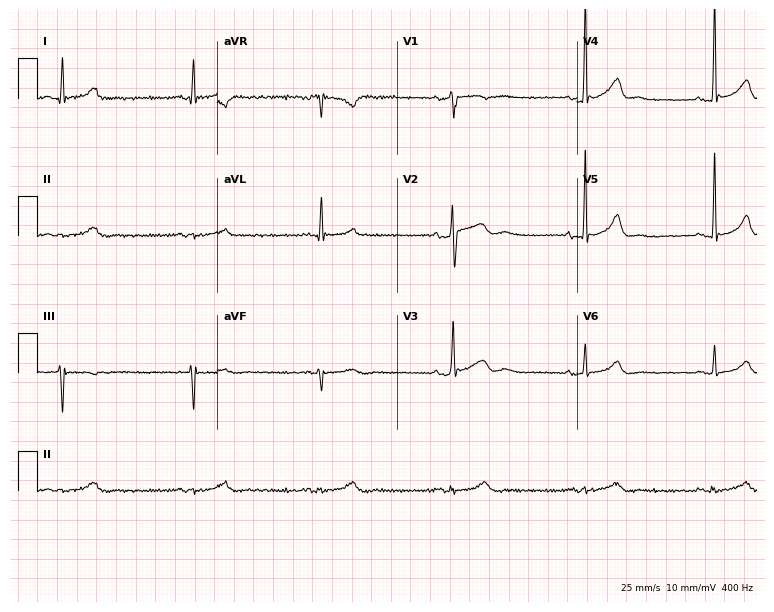
Resting 12-lead electrocardiogram. Patient: a male, 51 years old. The tracing shows sinus bradycardia (a sinus rate of 50 beats per minute or less).